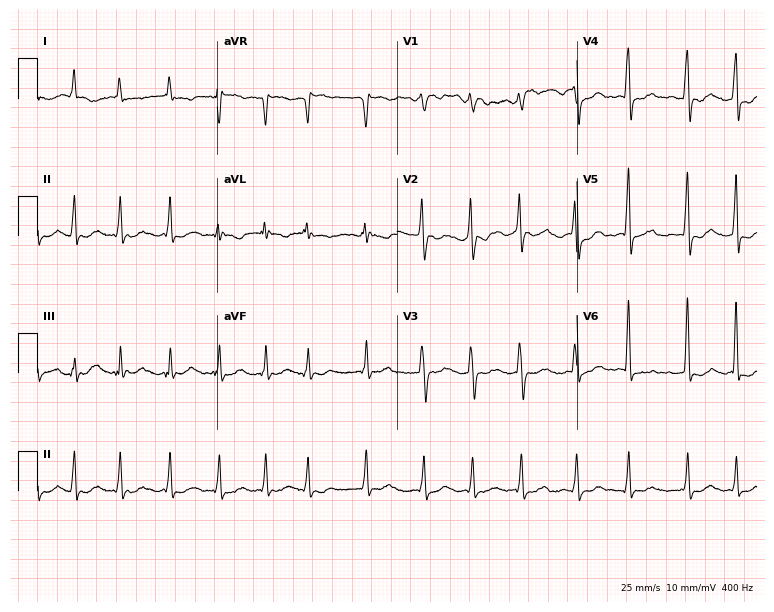
12-lead ECG from a female, 47 years old (7.3-second recording at 400 Hz). Shows atrial fibrillation (AF).